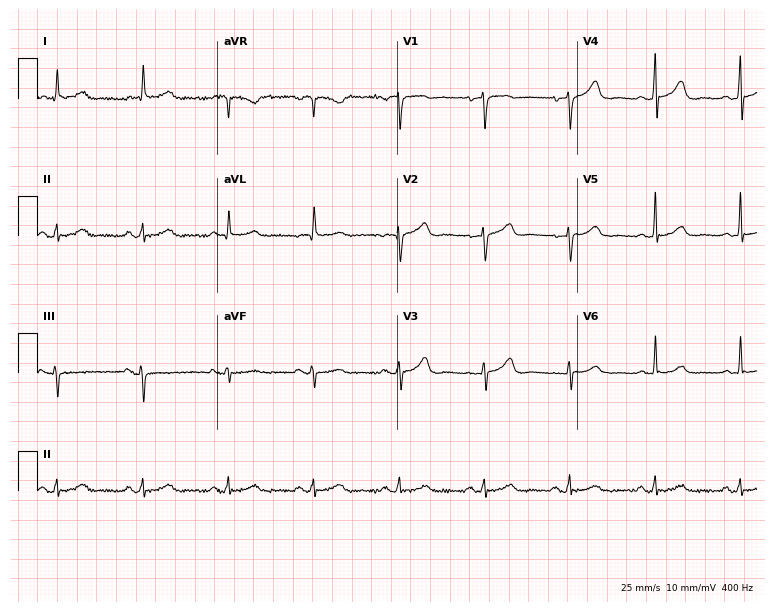
12-lead ECG from a 58-year-old female. Recorded interpretation: within normal limits.